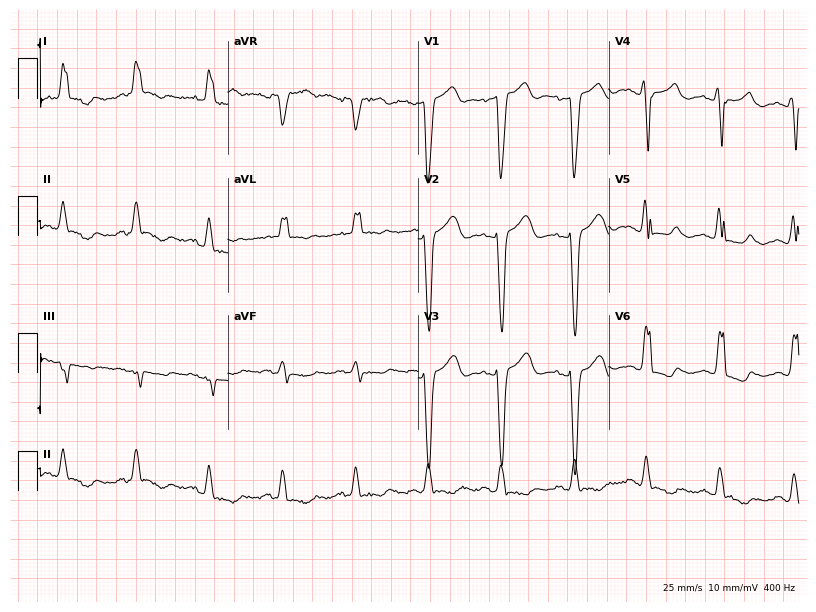
Standard 12-lead ECG recorded from a man, 73 years old. The tracing shows left bundle branch block.